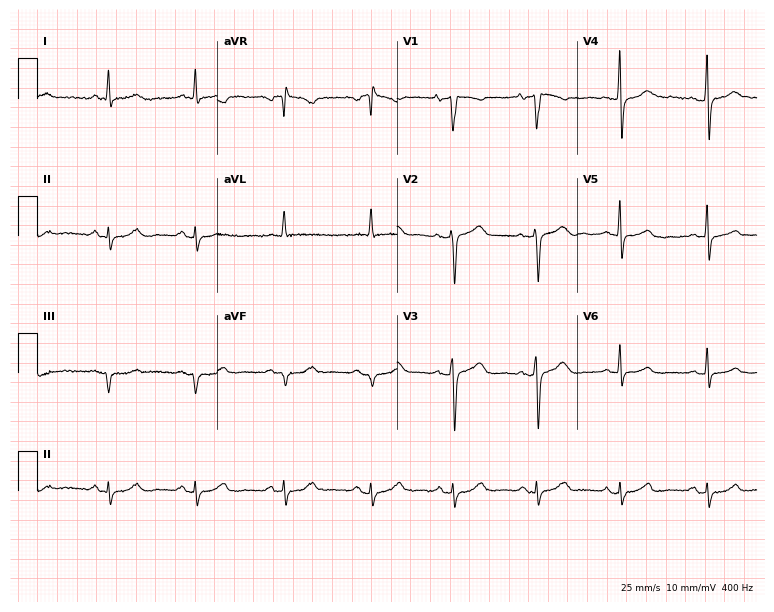
Electrocardiogram, a female patient, 51 years old. Of the six screened findings (first-degree AV block, right bundle branch block (RBBB), left bundle branch block (LBBB), sinus bradycardia, atrial fibrillation (AF), sinus tachycardia), none is recorded.